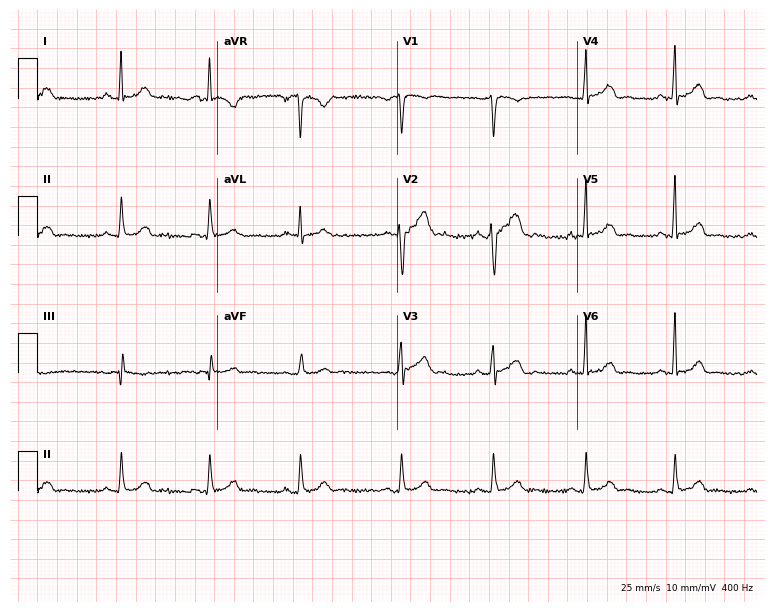
ECG (7.3-second recording at 400 Hz) — a male patient, 29 years old. Labelled as a normal ECG.